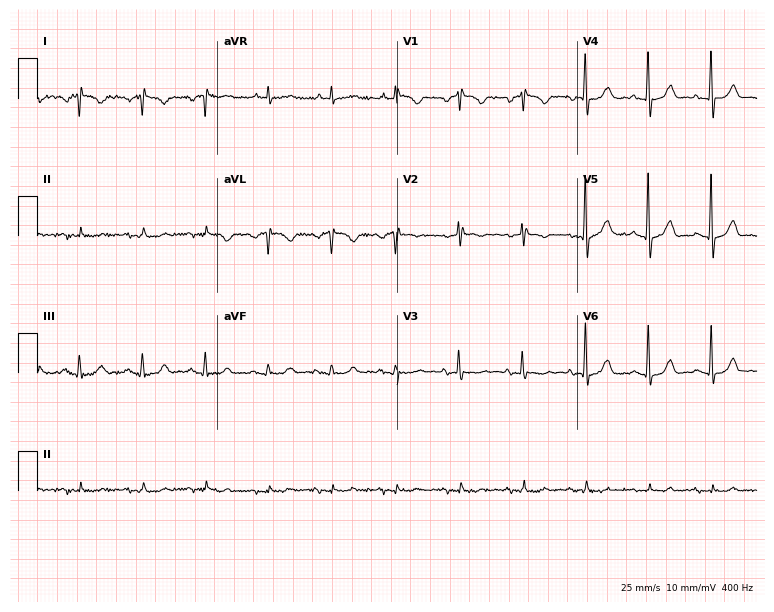
Resting 12-lead electrocardiogram (7.3-second recording at 400 Hz). Patient: a woman, 77 years old. None of these six findings is recorded: first-degree AV block, right bundle branch block, left bundle branch block, sinus bradycardia, atrial fibrillation, sinus tachycardia.